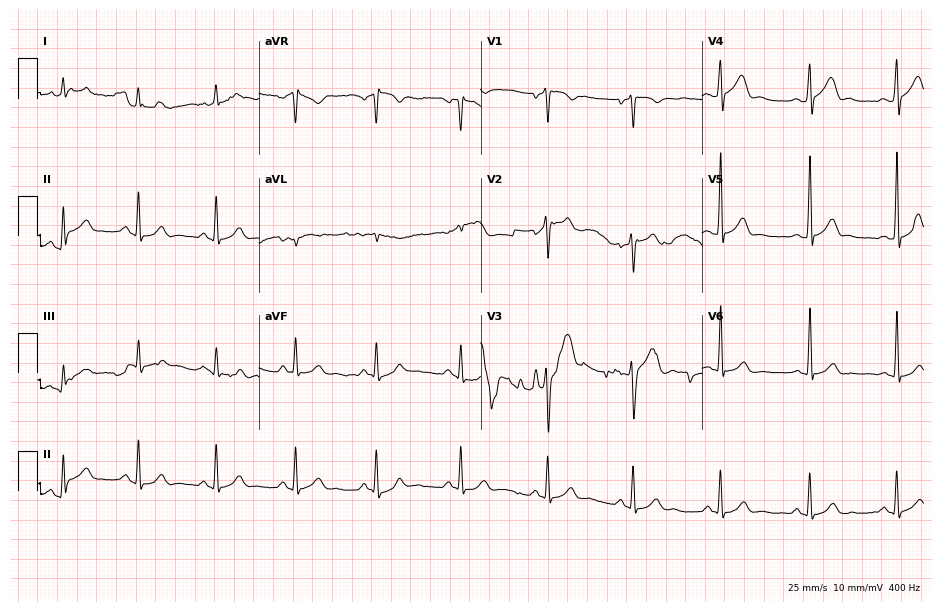
12-lead ECG (9-second recording at 400 Hz) from a male, 26 years old. Labelled as a normal ECG.